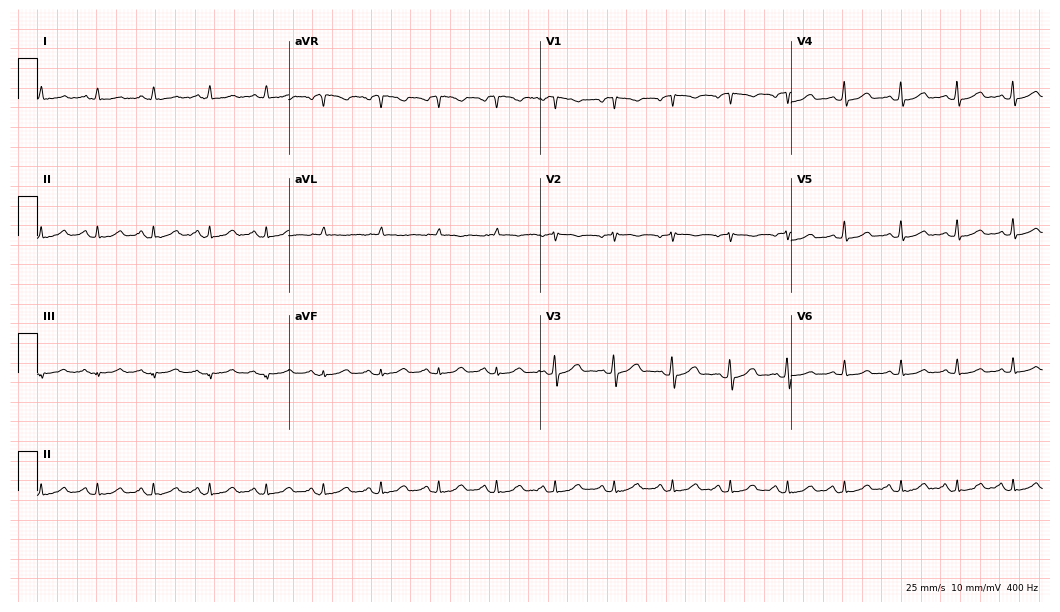
ECG (10.2-second recording at 400 Hz) — a woman, 53 years old. Labelled as a normal ECG.